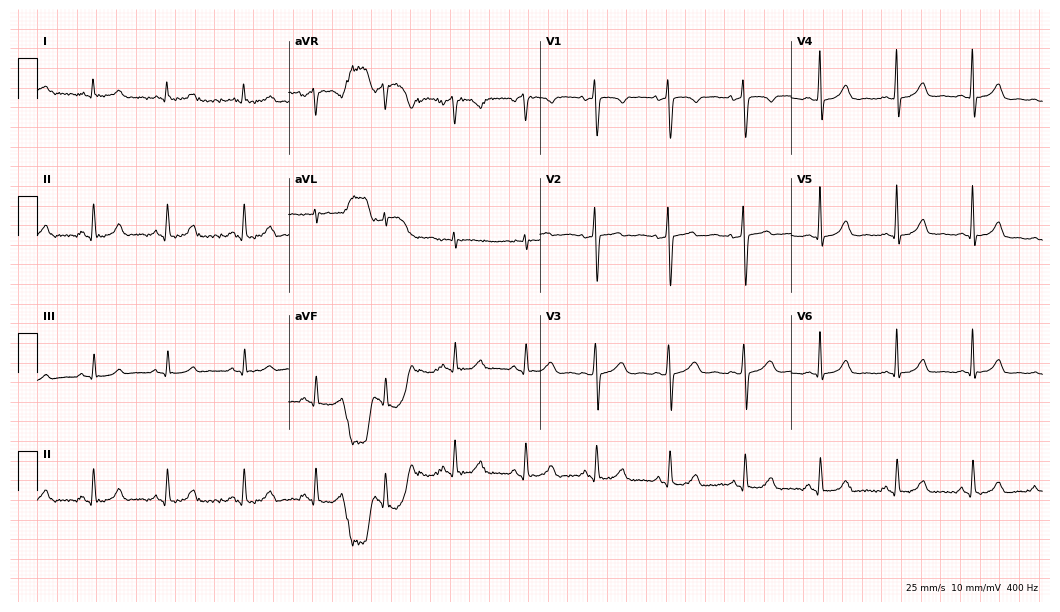
12-lead ECG from a 23-year-old female patient. Labelled as a normal ECG.